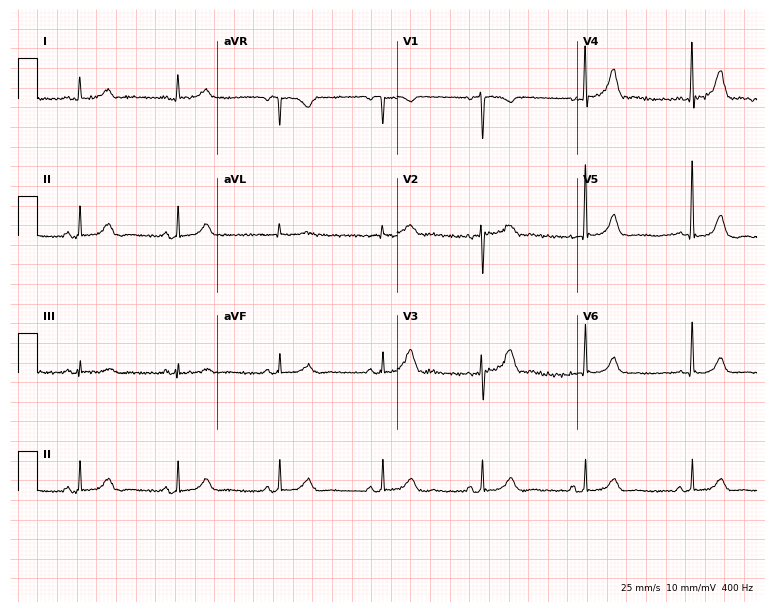
Electrocardiogram, a female, 46 years old. Of the six screened findings (first-degree AV block, right bundle branch block, left bundle branch block, sinus bradycardia, atrial fibrillation, sinus tachycardia), none is recorded. Only these six findings were labelled.